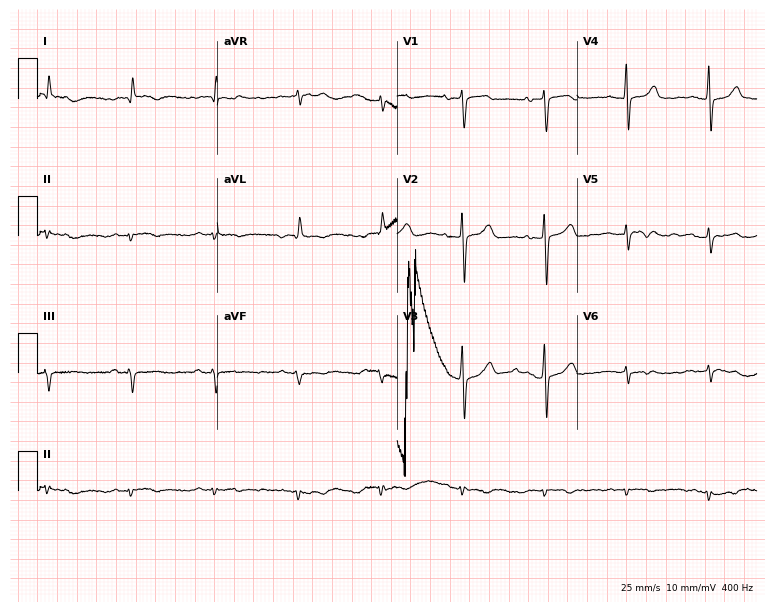
12-lead ECG from a 65-year-old female patient. Screened for six findings — first-degree AV block, right bundle branch block, left bundle branch block, sinus bradycardia, atrial fibrillation, sinus tachycardia — none is recorded.